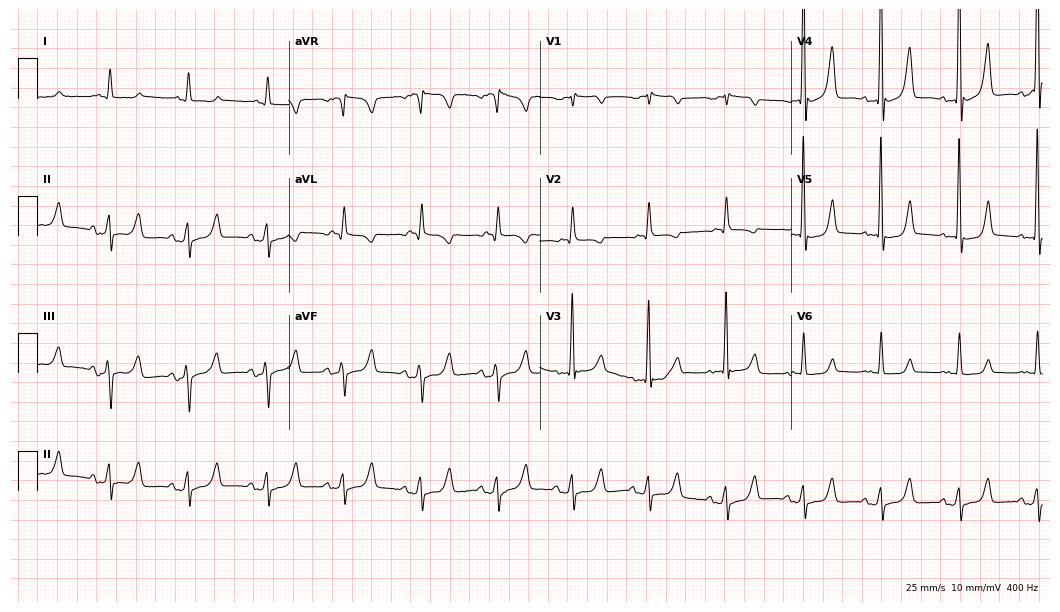
ECG — a female patient, 69 years old. Screened for six findings — first-degree AV block, right bundle branch block (RBBB), left bundle branch block (LBBB), sinus bradycardia, atrial fibrillation (AF), sinus tachycardia — none is recorded. Findings outside these six are not listed.